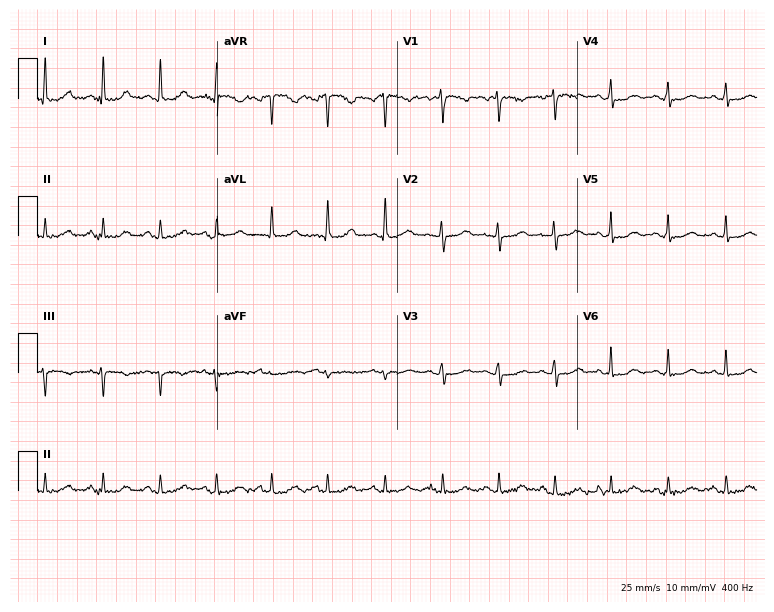
ECG — a female, 28 years old. Findings include sinus tachycardia (a sinus rate of 100 beats per minute or more).